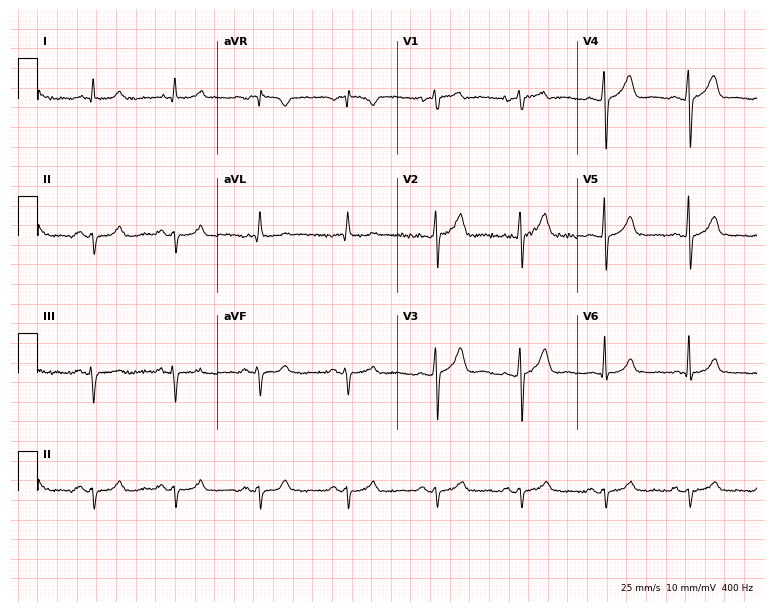
Electrocardiogram (7.3-second recording at 400 Hz), a man, 59 years old. Of the six screened findings (first-degree AV block, right bundle branch block (RBBB), left bundle branch block (LBBB), sinus bradycardia, atrial fibrillation (AF), sinus tachycardia), none is recorded.